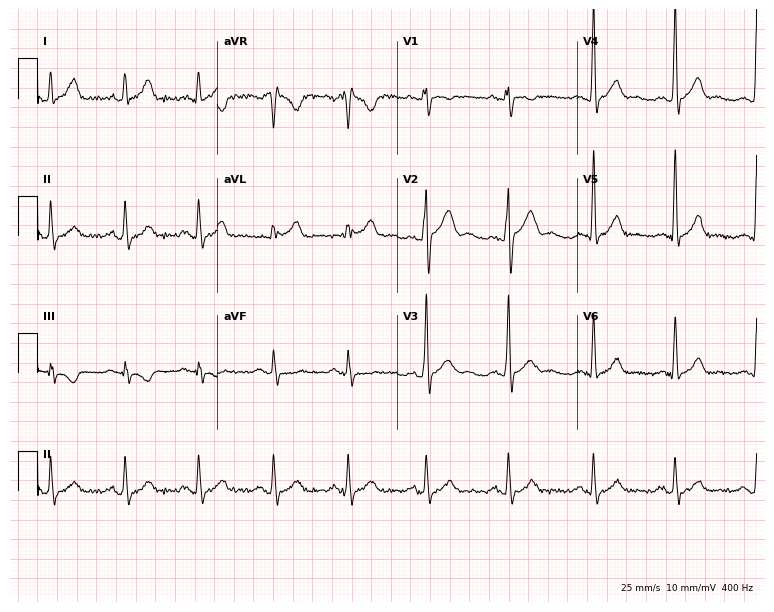
Standard 12-lead ECG recorded from a 27-year-old male patient. None of these six findings is recorded: first-degree AV block, right bundle branch block (RBBB), left bundle branch block (LBBB), sinus bradycardia, atrial fibrillation (AF), sinus tachycardia.